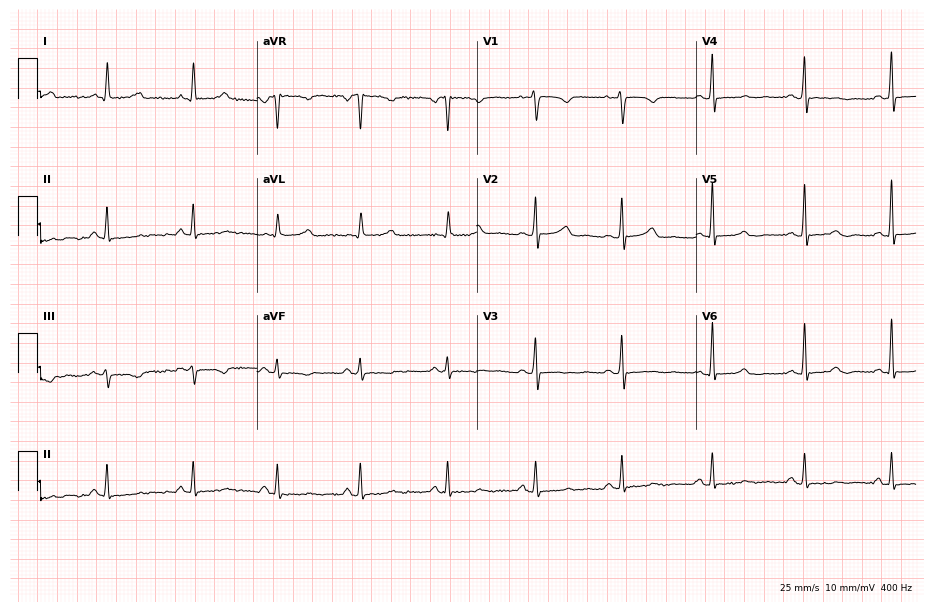
Electrocardiogram (9-second recording at 400 Hz), a 47-year-old woman. Of the six screened findings (first-degree AV block, right bundle branch block, left bundle branch block, sinus bradycardia, atrial fibrillation, sinus tachycardia), none is recorded. Other findings, if any, are not listed.